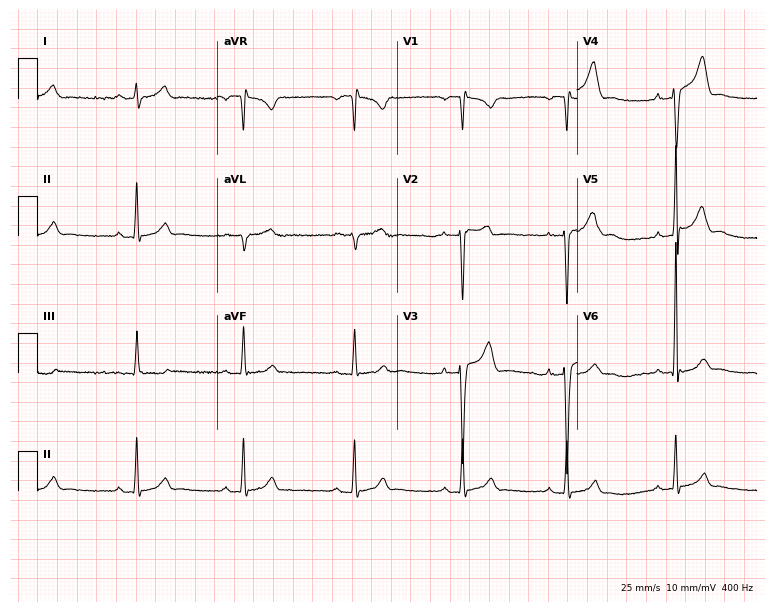
12-lead ECG from a male, 24 years old (7.3-second recording at 400 Hz). No first-degree AV block, right bundle branch block (RBBB), left bundle branch block (LBBB), sinus bradycardia, atrial fibrillation (AF) or sinus tachycardia recorded for this tracing.